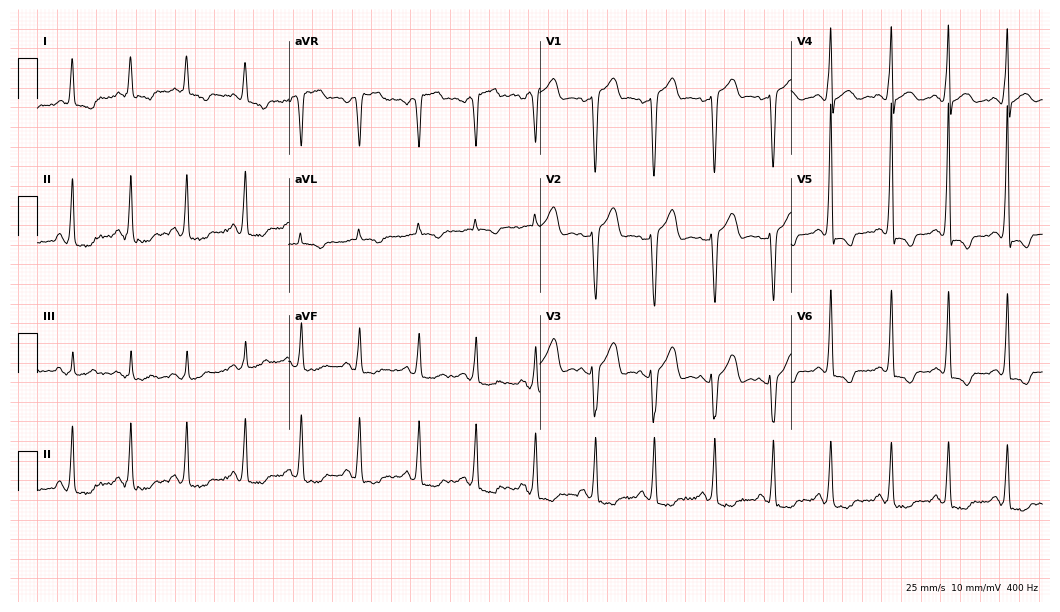
Resting 12-lead electrocardiogram (10.2-second recording at 400 Hz). Patient: a 75-year-old woman. The tracing shows sinus tachycardia (a sinus rate of 100 beats per minute or more).